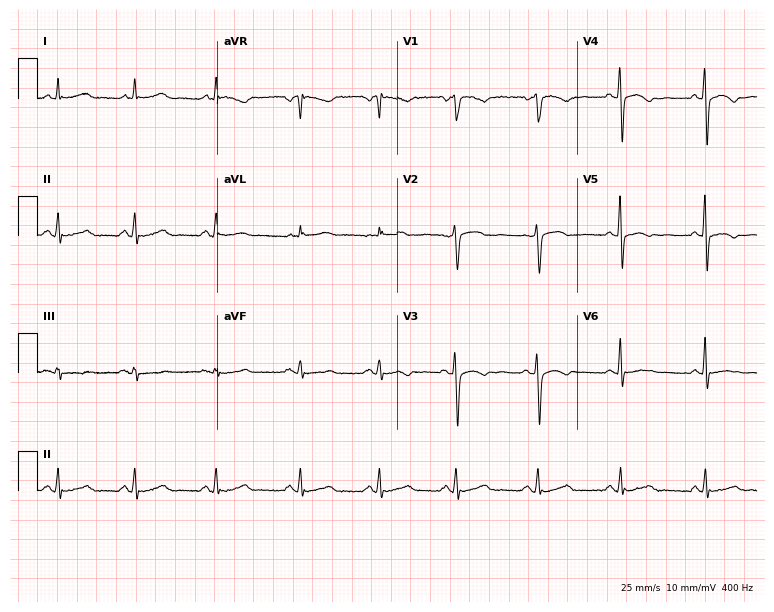
Electrocardiogram (7.3-second recording at 400 Hz), a 48-year-old female patient. Overall reading on record: normal ECG.